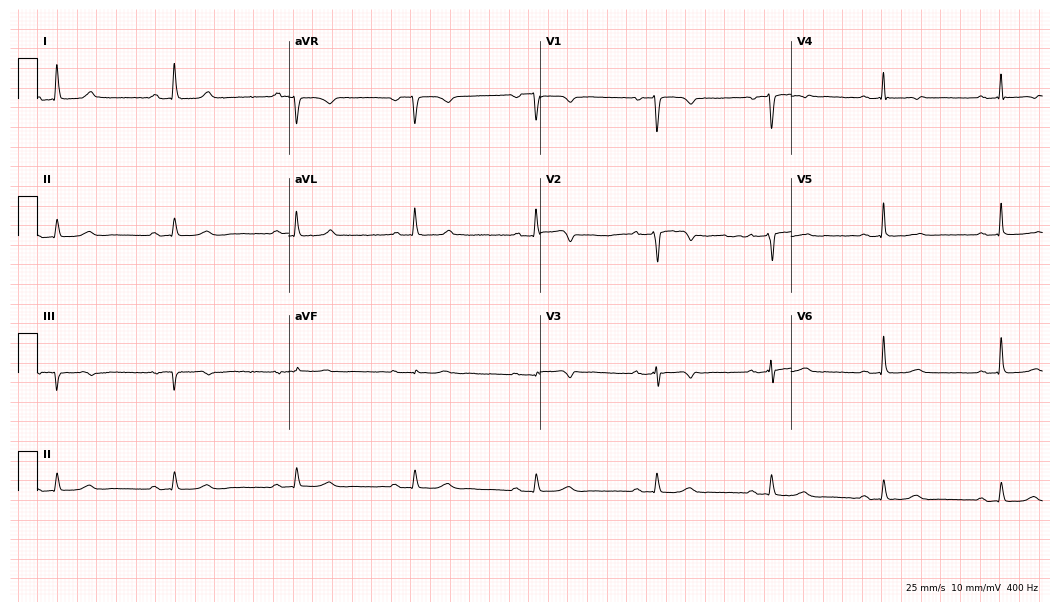
Standard 12-lead ECG recorded from a woman, 56 years old. The tracing shows first-degree AV block, right bundle branch block, sinus bradycardia (a sinus rate of 50 beats per minute or less).